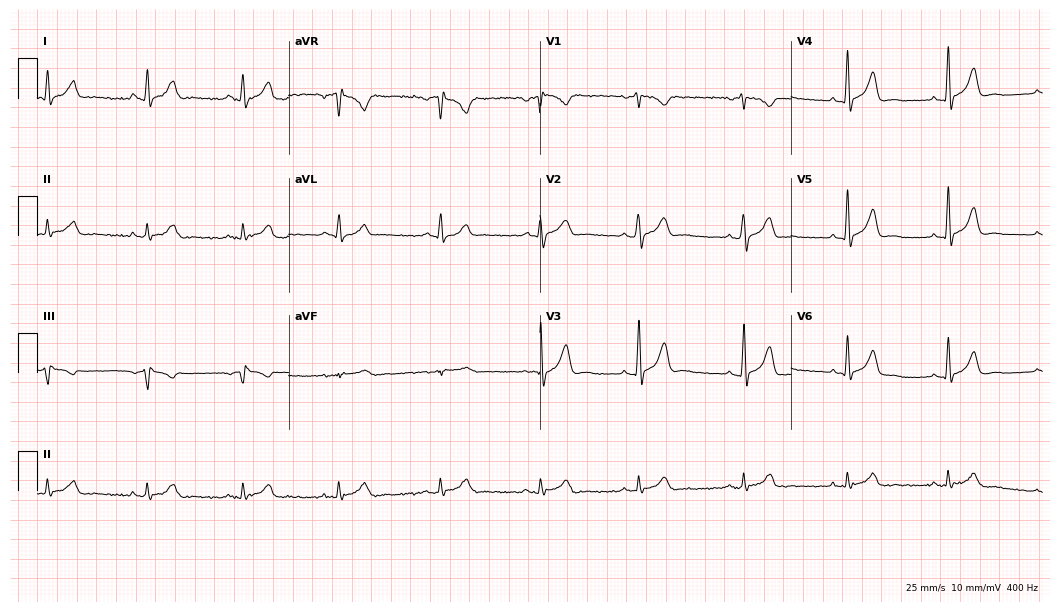
Resting 12-lead electrocardiogram. Patient: a 38-year-old male. None of these six findings is recorded: first-degree AV block, right bundle branch block (RBBB), left bundle branch block (LBBB), sinus bradycardia, atrial fibrillation (AF), sinus tachycardia.